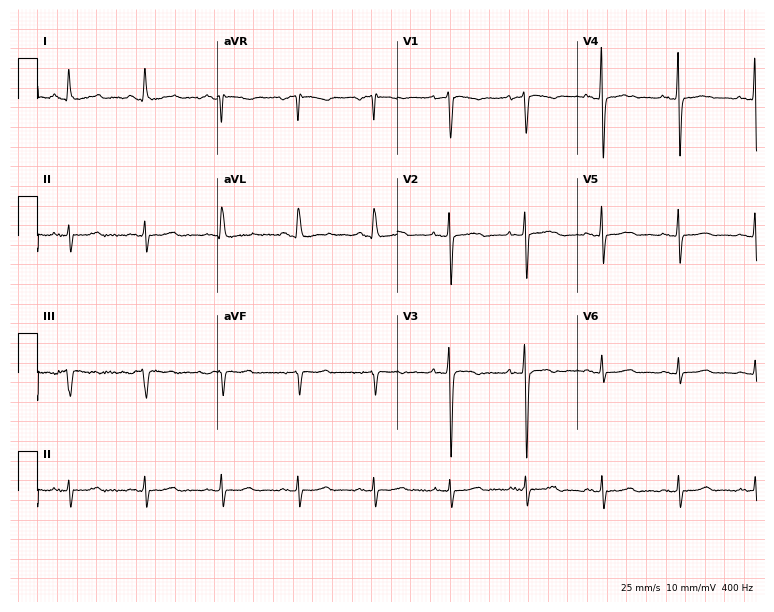
12-lead ECG from a 62-year-old woman (7.3-second recording at 400 Hz). No first-degree AV block, right bundle branch block (RBBB), left bundle branch block (LBBB), sinus bradycardia, atrial fibrillation (AF) or sinus tachycardia recorded for this tracing. Findings outside these six are not listed.